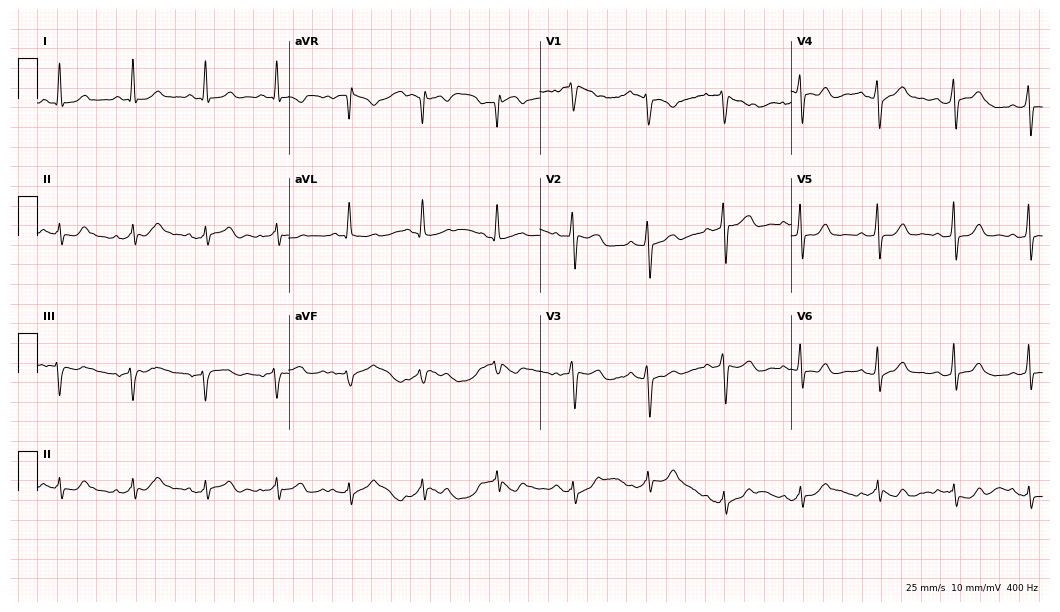
ECG (10.2-second recording at 400 Hz) — a 52-year-old female patient. Screened for six findings — first-degree AV block, right bundle branch block (RBBB), left bundle branch block (LBBB), sinus bradycardia, atrial fibrillation (AF), sinus tachycardia — none is recorded.